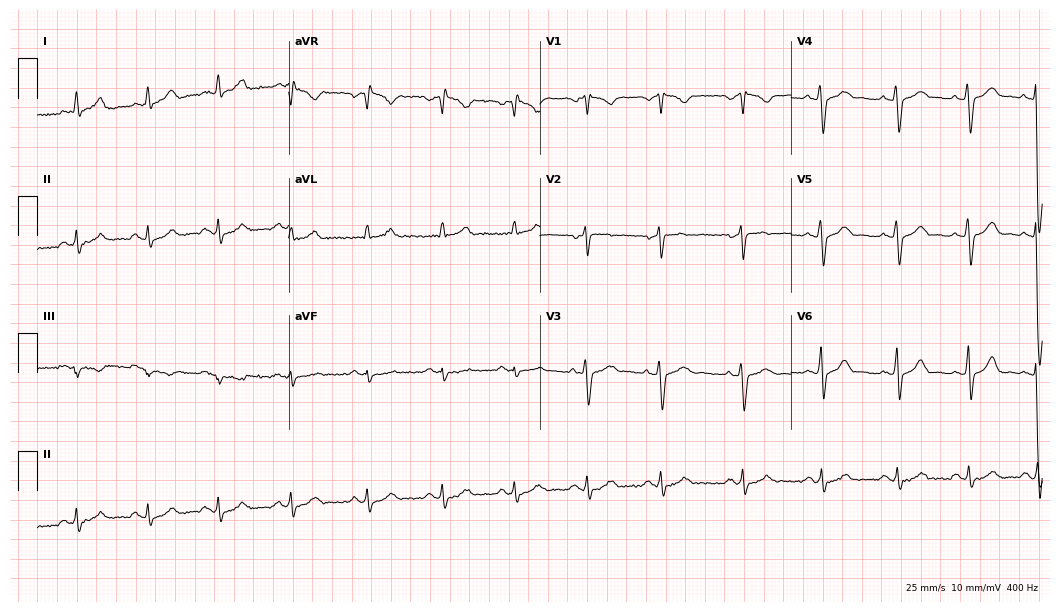
ECG — a 33-year-old male. Screened for six findings — first-degree AV block, right bundle branch block, left bundle branch block, sinus bradycardia, atrial fibrillation, sinus tachycardia — none is recorded. Only these six findings were labelled.